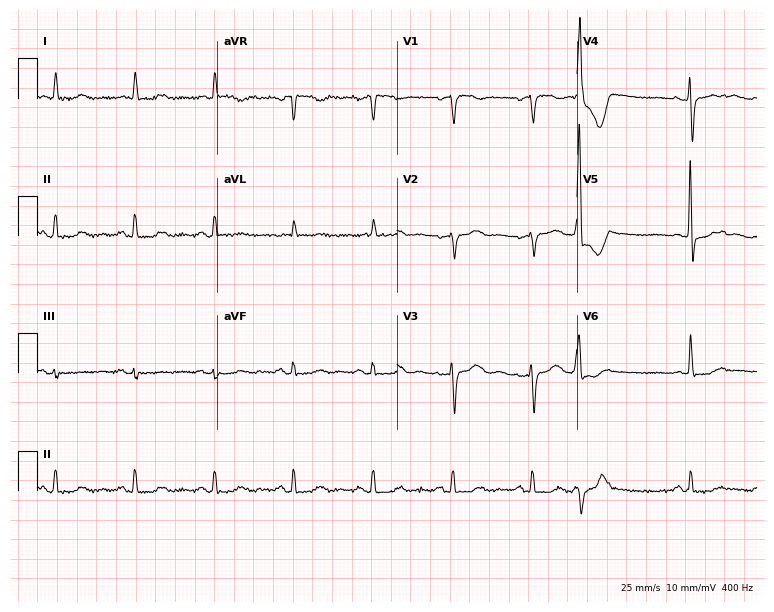
Electrocardiogram, a woman, 82 years old. Overall reading on record: normal ECG.